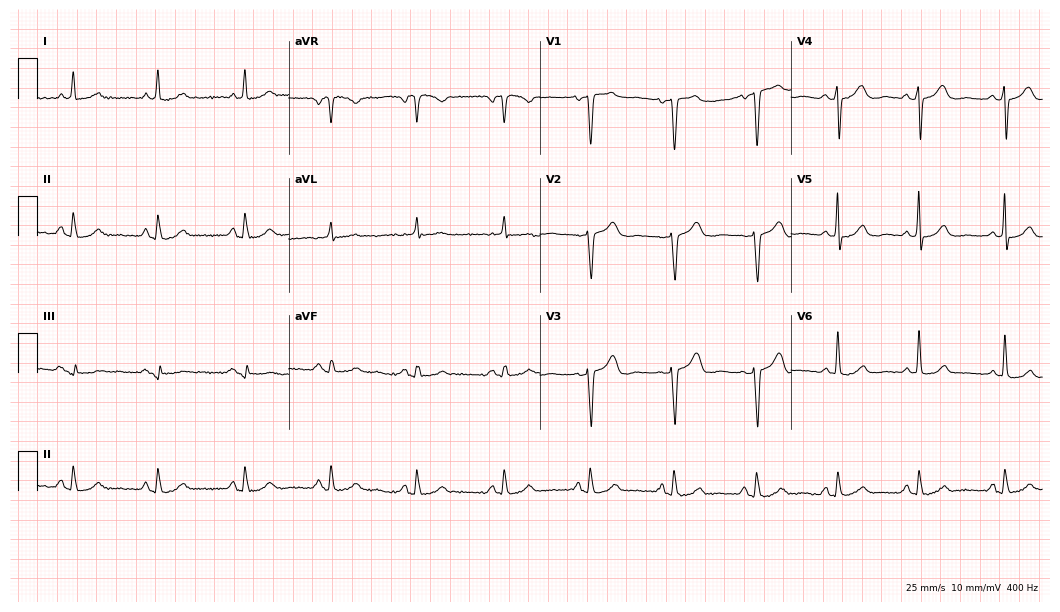
Electrocardiogram (10.2-second recording at 400 Hz), a 61-year-old woman. Overall reading on record: normal ECG.